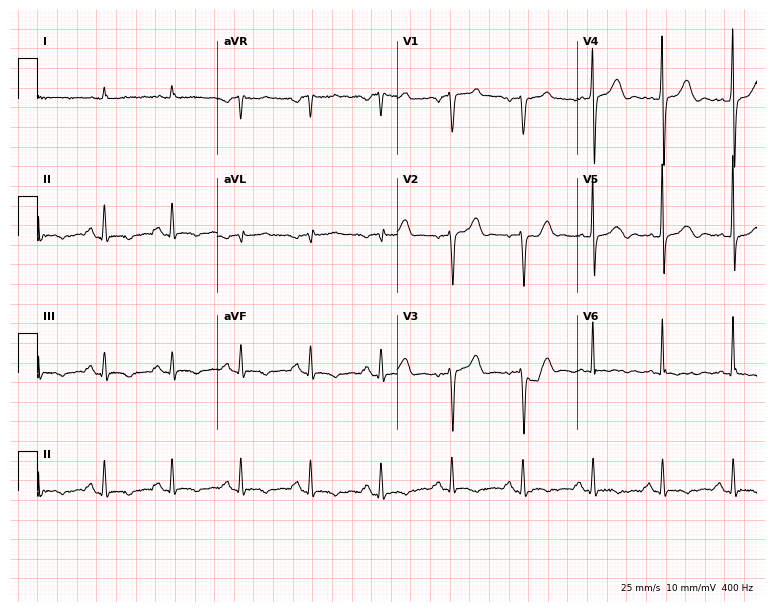
ECG (7.3-second recording at 400 Hz) — a male, 69 years old. Screened for six findings — first-degree AV block, right bundle branch block, left bundle branch block, sinus bradycardia, atrial fibrillation, sinus tachycardia — none is recorded. Findings outside these six are not listed.